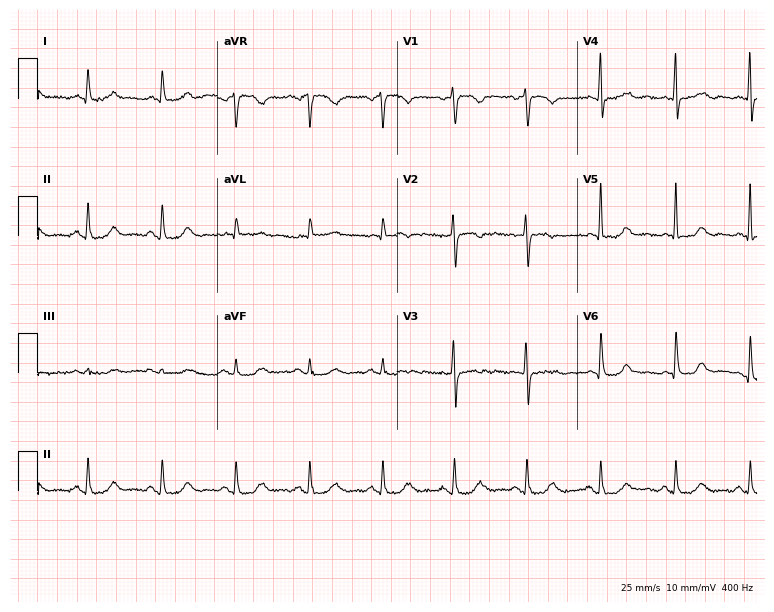
ECG — a female patient, 72 years old. Screened for six findings — first-degree AV block, right bundle branch block, left bundle branch block, sinus bradycardia, atrial fibrillation, sinus tachycardia — none is recorded.